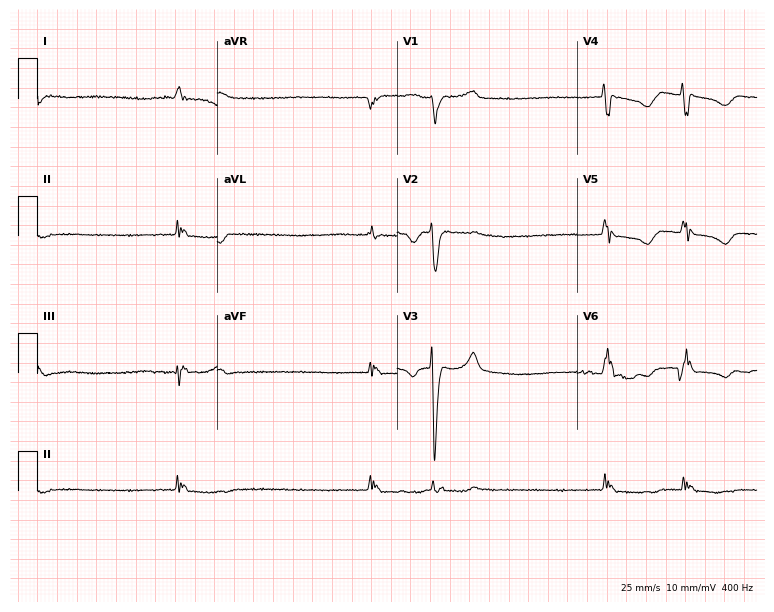
12-lead ECG from a 70-year-old female patient. Shows left bundle branch block, atrial fibrillation.